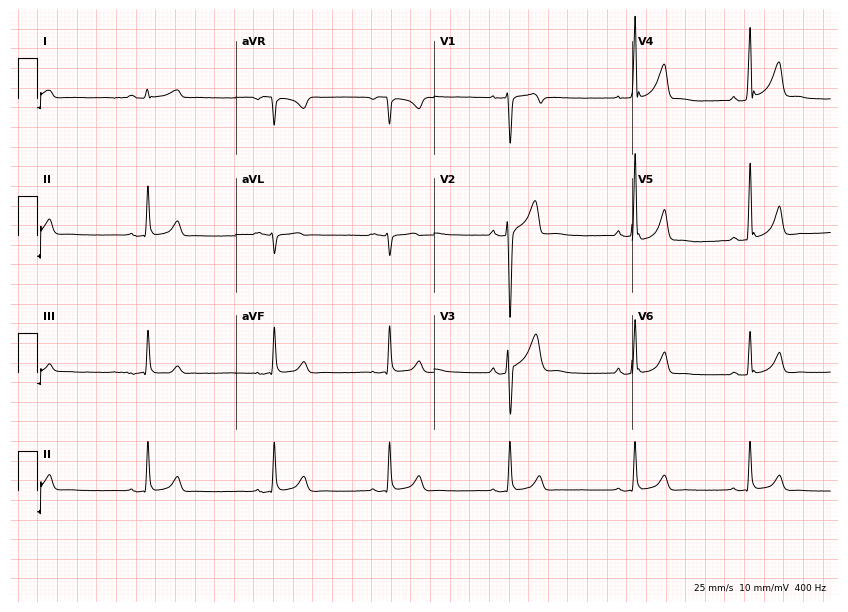
12-lead ECG (8.1-second recording at 400 Hz) from a man, 30 years old. Screened for six findings — first-degree AV block, right bundle branch block, left bundle branch block, sinus bradycardia, atrial fibrillation, sinus tachycardia — none is recorded. Other findings, if any, are not listed.